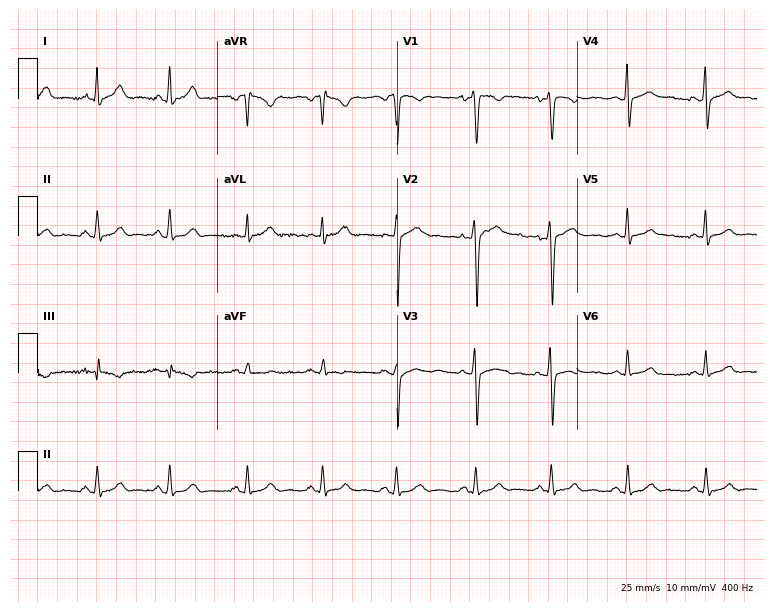
Resting 12-lead electrocardiogram (7.3-second recording at 400 Hz). Patient: a female, 33 years old. None of these six findings is recorded: first-degree AV block, right bundle branch block, left bundle branch block, sinus bradycardia, atrial fibrillation, sinus tachycardia.